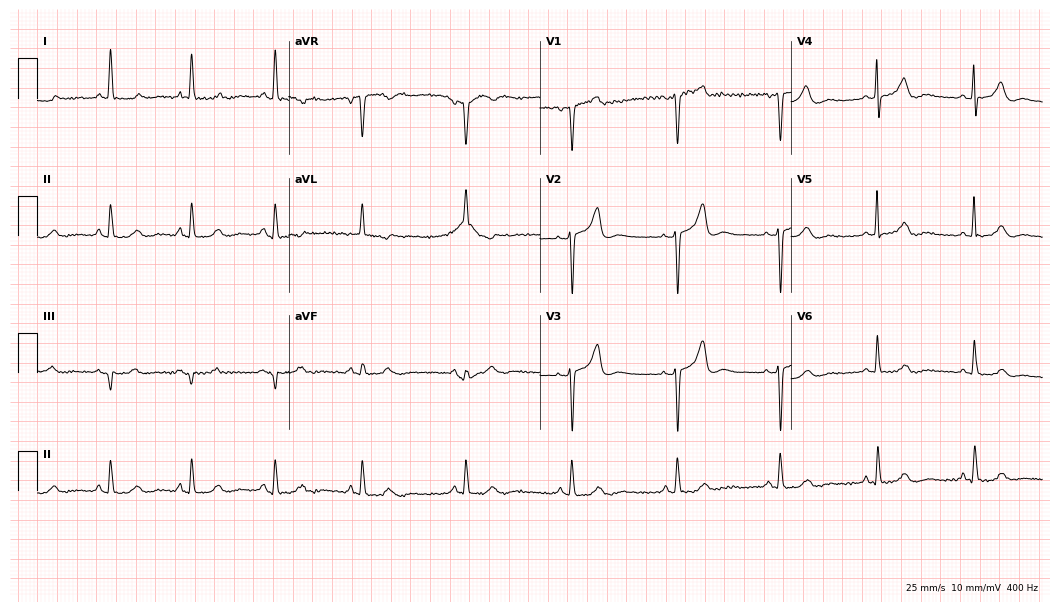
ECG — a 67-year-old female patient. Screened for six findings — first-degree AV block, right bundle branch block (RBBB), left bundle branch block (LBBB), sinus bradycardia, atrial fibrillation (AF), sinus tachycardia — none is recorded. Findings outside these six are not listed.